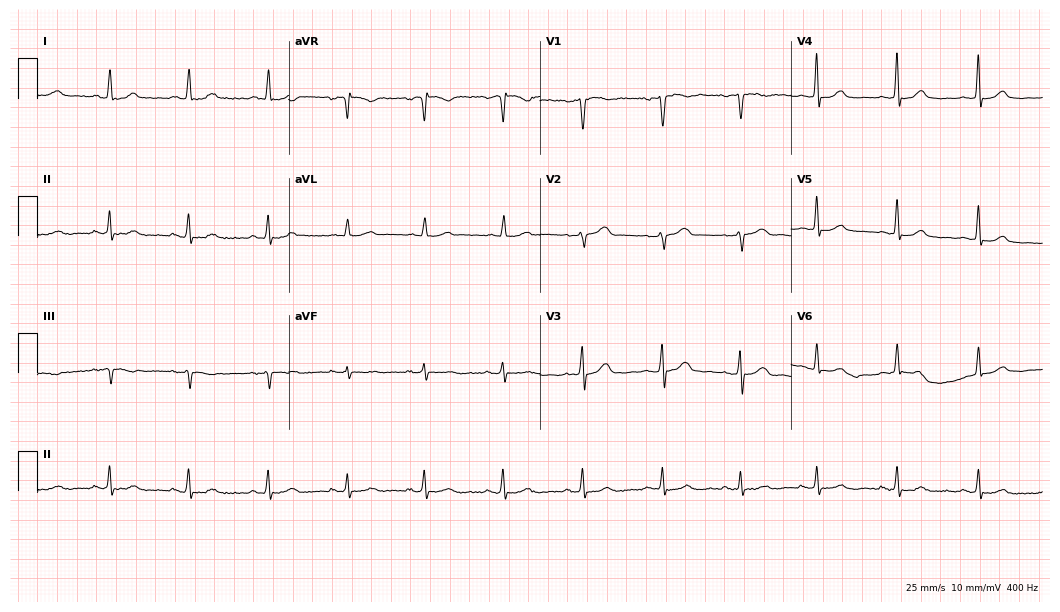
12-lead ECG from a 52-year-old female patient. Recorded interpretation: within normal limits.